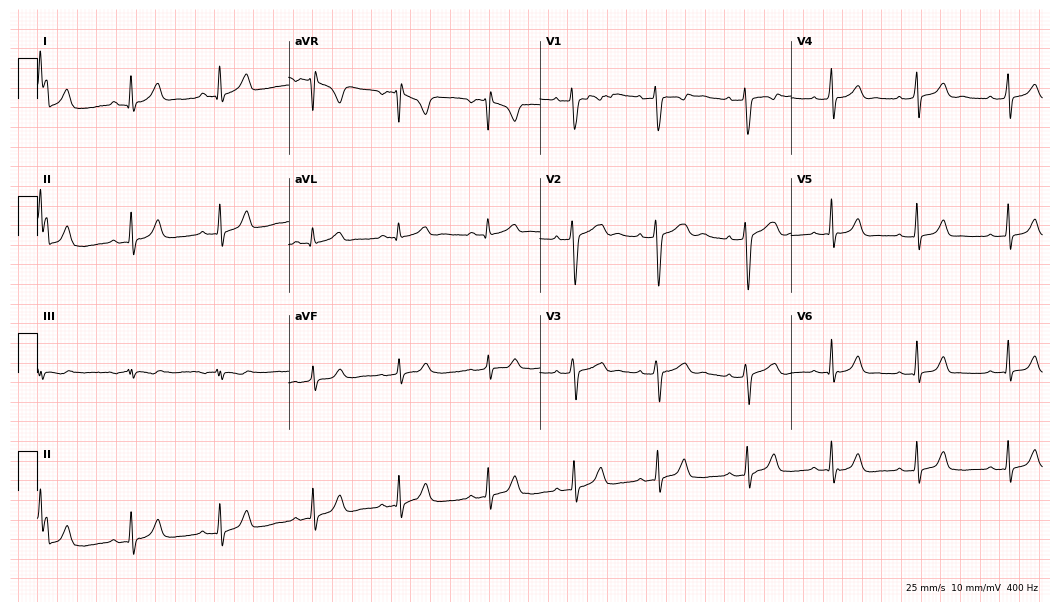
Standard 12-lead ECG recorded from a female patient, 22 years old. Read as a normal ECG.